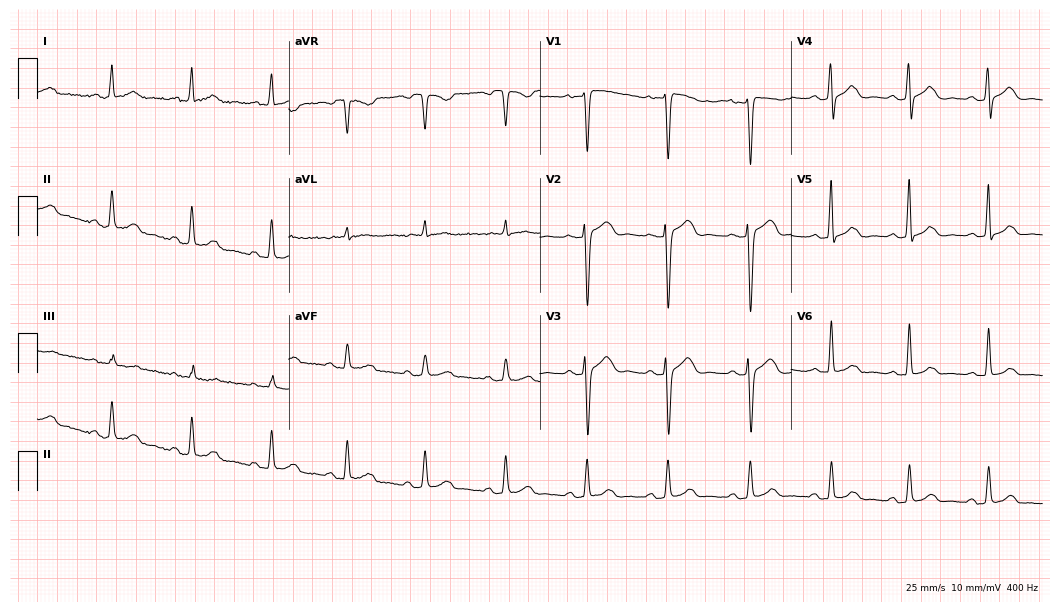
ECG (10.2-second recording at 400 Hz) — a female, 48 years old. Labelled as a normal ECG.